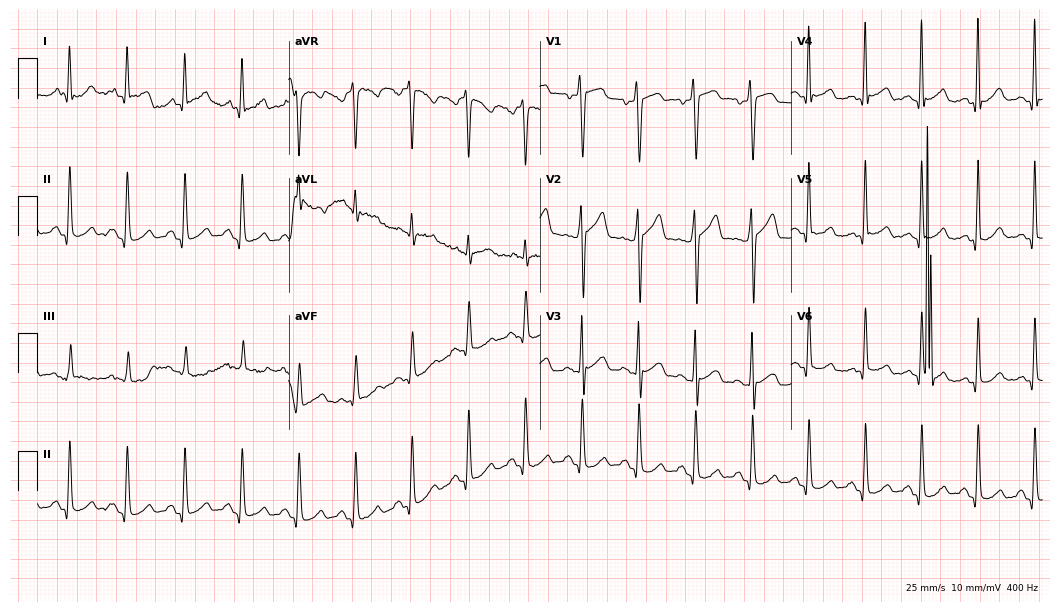
Electrocardiogram (10.2-second recording at 400 Hz), a man, 61 years old. Interpretation includes sinus tachycardia (a sinus rate of 100 beats per minute or more).